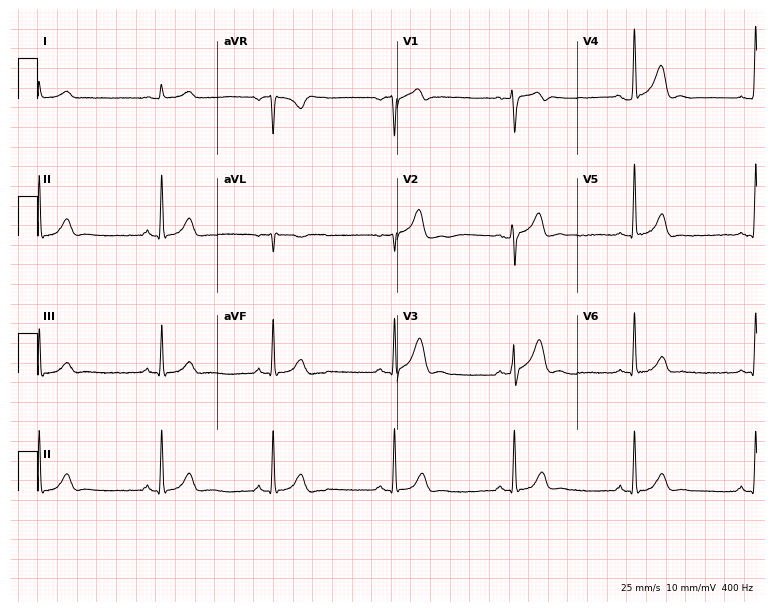
12-lead ECG from a male patient, 38 years old. Recorded interpretation: within normal limits.